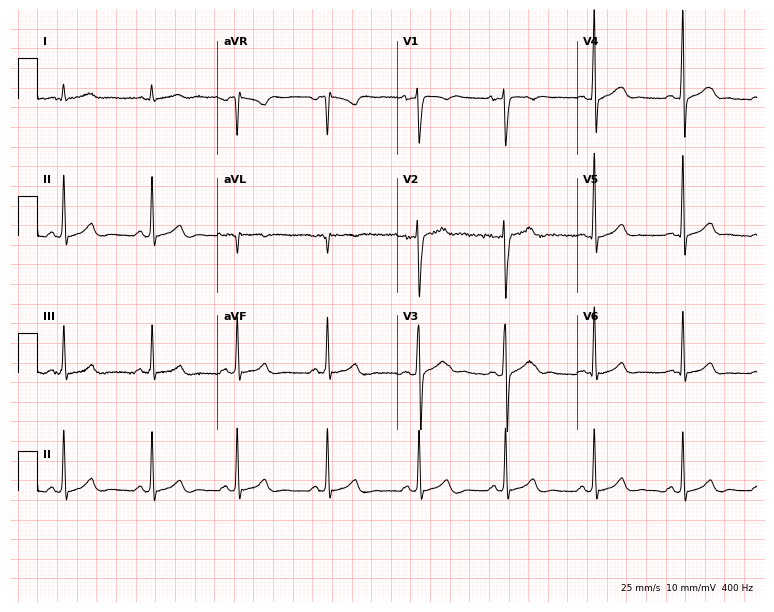
Resting 12-lead electrocardiogram. Patient: a 31-year-old man. Read as a normal ECG.